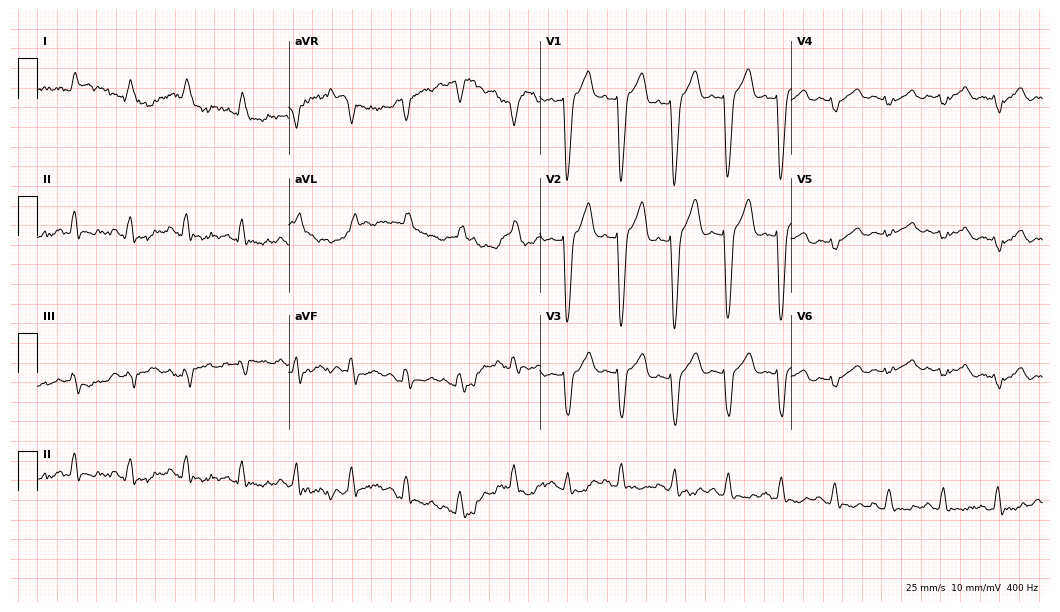
Resting 12-lead electrocardiogram (10.2-second recording at 400 Hz). Patient: a 79-year-old man. None of these six findings is recorded: first-degree AV block, right bundle branch block (RBBB), left bundle branch block (LBBB), sinus bradycardia, atrial fibrillation (AF), sinus tachycardia. Only these six findings were labelled.